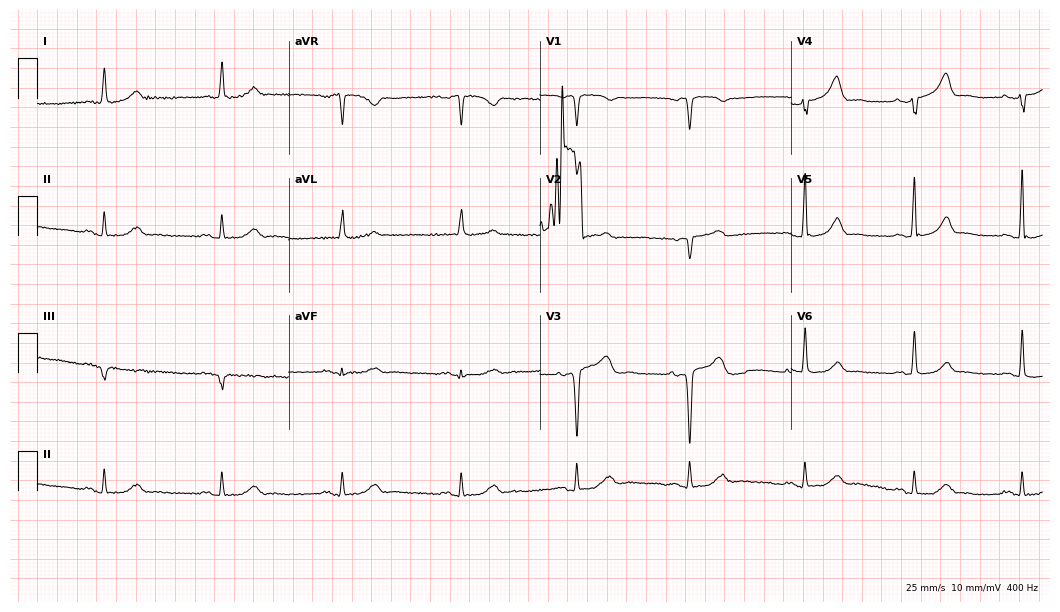
Electrocardiogram (10.2-second recording at 400 Hz), a 78-year-old female. Of the six screened findings (first-degree AV block, right bundle branch block, left bundle branch block, sinus bradycardia, atrial fibrillation, sinus tachycardia), none is recorded. Other findings, if any, are not listed.